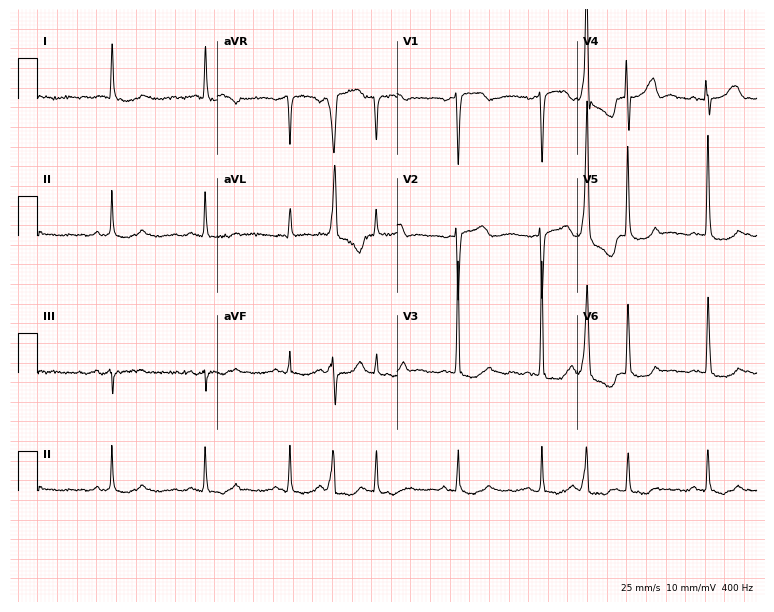
Standard 12-lead ECG recorded from a female patient, 69 years old. Read as a normal ECG.